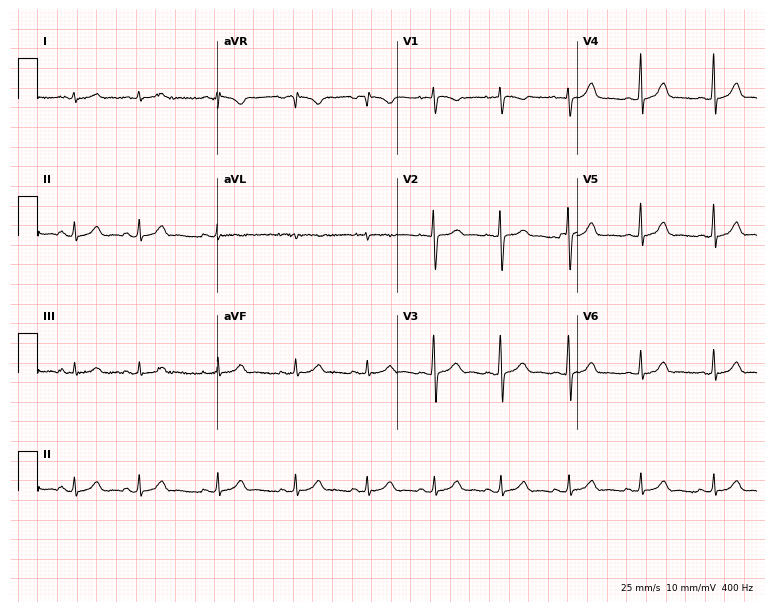
Resting 12-lead electrocardiogram. Patient: a female, 19 years old. None of these six findings is recorded: first-degree AV block, right bundle branch block, left bundle branch block, sinus bradycardia, atrial fibrillation, sinus tachycardia.